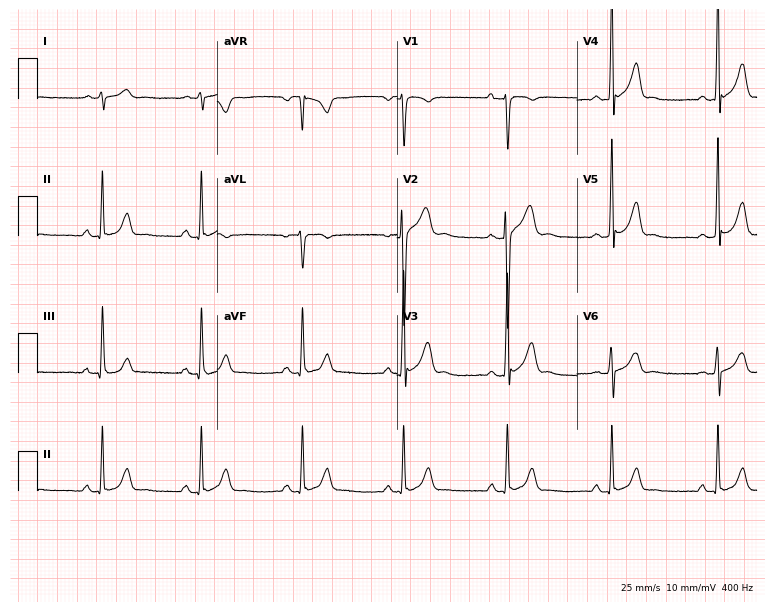
Standard 12-lead ECG recorded from a male, 21 years old. None of these six findings is recorded: first-degree AV block, right bundle branch block (RBBB), left bundle branch block (LBBB), sinus bradycardia, atrial fibrillation (AF), sinus tachycardia.